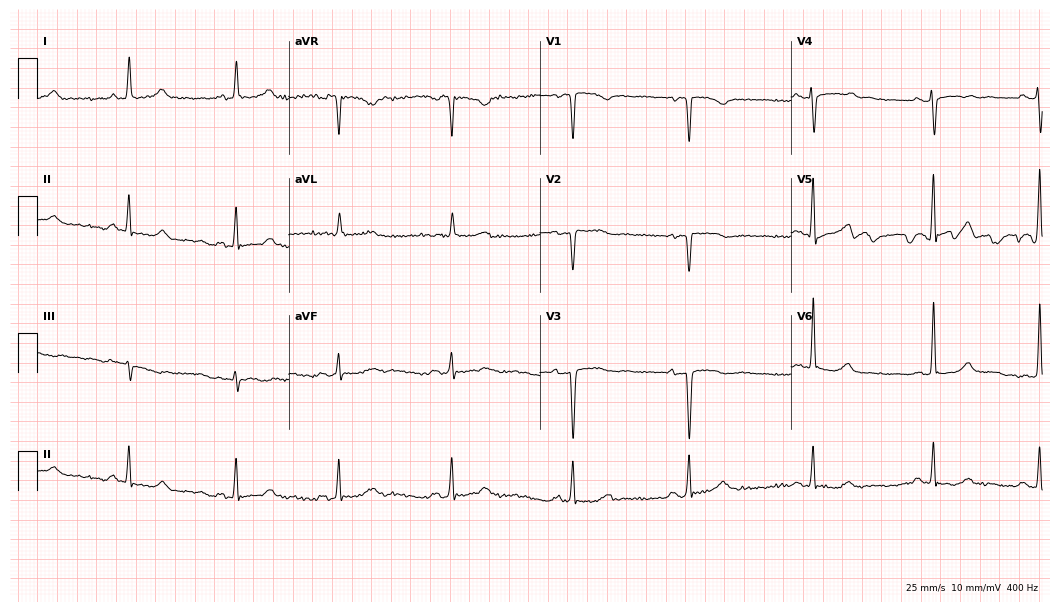
Resting 12-lead electrocardiogram (10.2-second recording at 400 Hz). Patient: a woman, 58 years old. None of these six findings is recorded: first-degree AV block, right bundle branch block, left bundle branch block, sinus bradycardia, atrial fibrillation, sinus tachycardia. Findings outside these six are not listed.